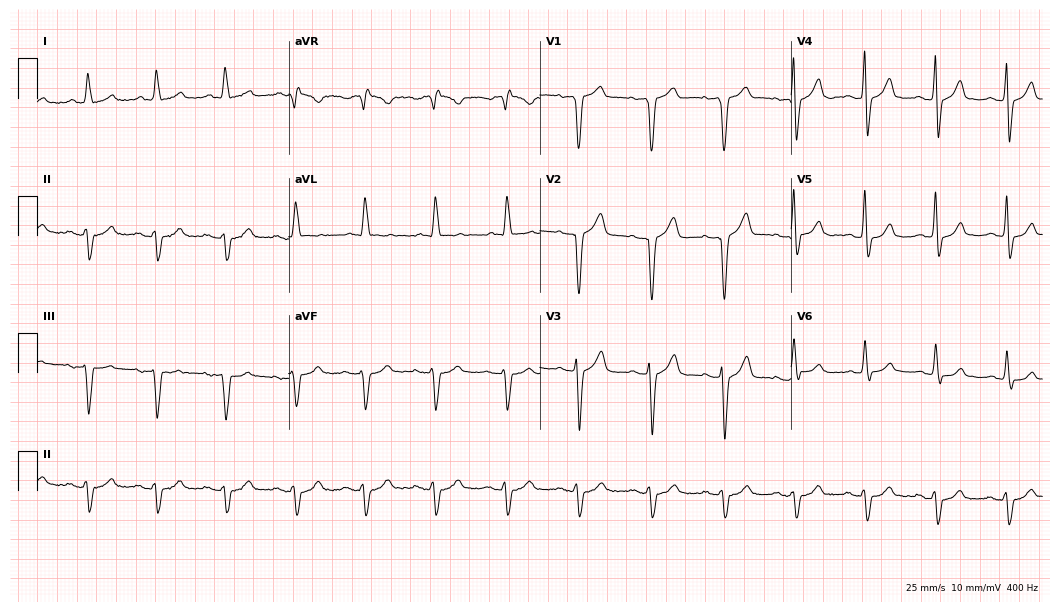
ECG (10.2-second recording at 400 Hz) — a male, 75 years old. Screened for six findings — first-degree AV block, right bundle branch block (RBBB), left bundle branch block (LBBB), sinus bradycardia, atrial fibrillation (AF), sinus tachycardia — none is recorded.